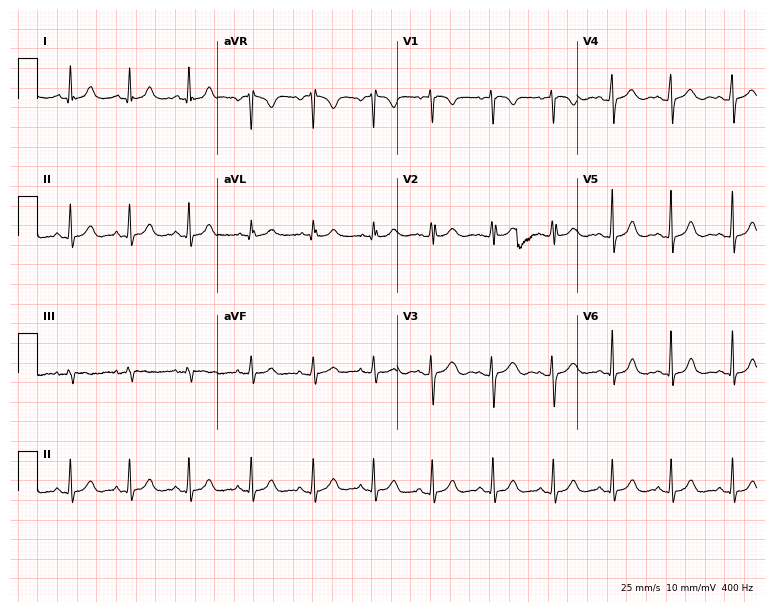
Electrocardiogram (7.3-second recording at 400 Hz), a woman, 17 years old. Of the six screened findings (first-degree AV block, right bundle branch block, left bundle branch block, sinus bradycardia, atrial fibrillation, sinus tachycardia), none is recorded. Only these six findings were labelled.